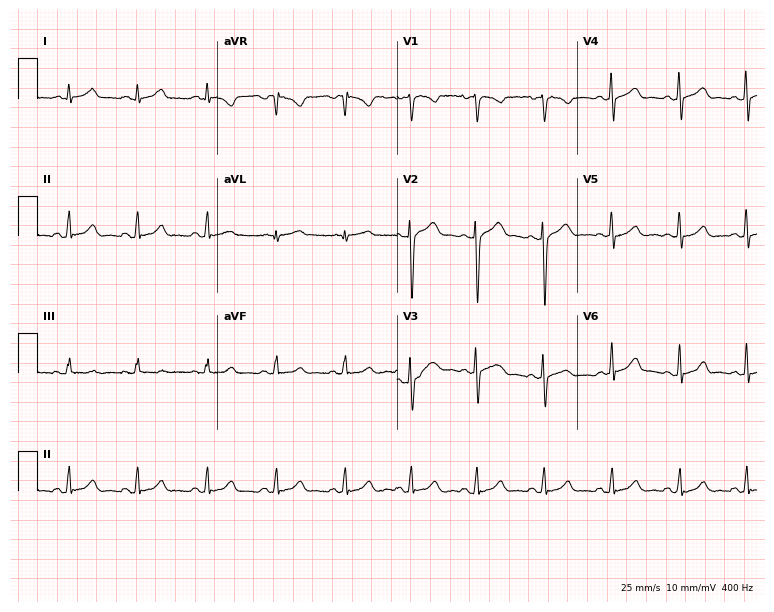
Standard 12-lead ECG recorded from a 25-year-old woman (7.3-second recording at 400 Hz). Read as a normal ECG.